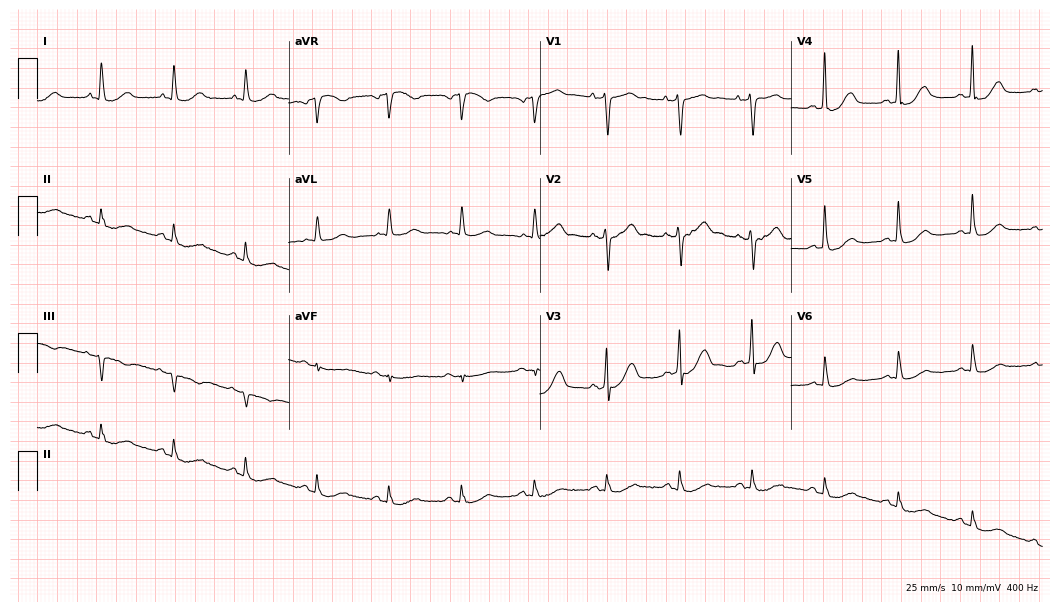
12-lead ECG from a 76-year-old man (10.2-second recording at 400 Hz). No first-degree AV block, right bundle branch block, left bundle branch block, sinus bradycardia, atrial fibrillation or sinus tachycardia recorded for this tracing. Only these six findings were labelled.